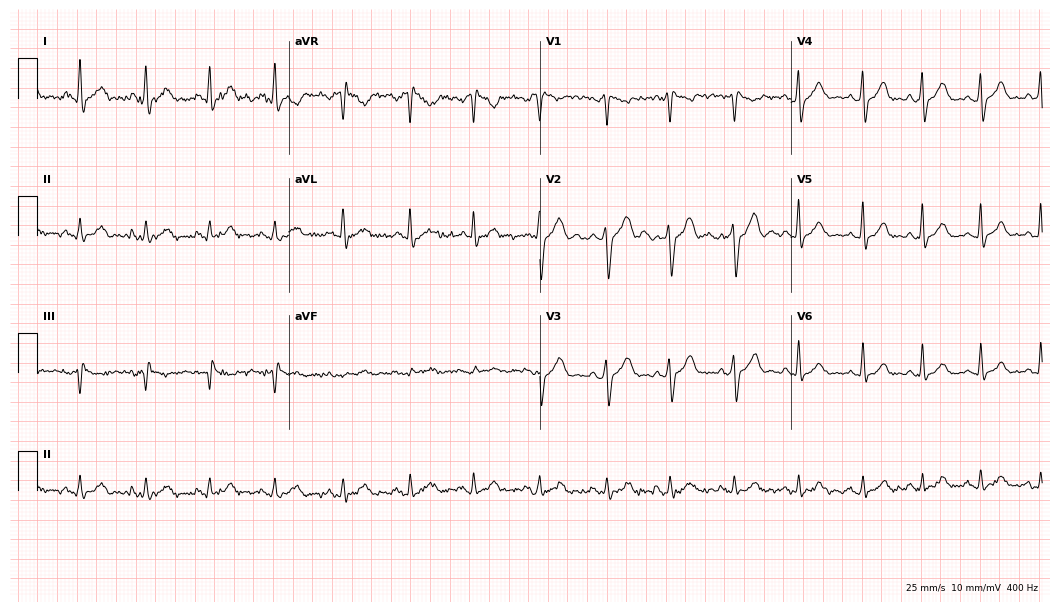
Resting 12-lead electrocardiogram (10.2-second recording at 400 Hz). Patient: a man, 30 years old. None of these six findings is recorded: first-degree AV block, right bundle branch block, left bundle branch block, sinus bradycardia, atrial fibrillation, sinus tachycardia. Other findings, if any, are not listed.